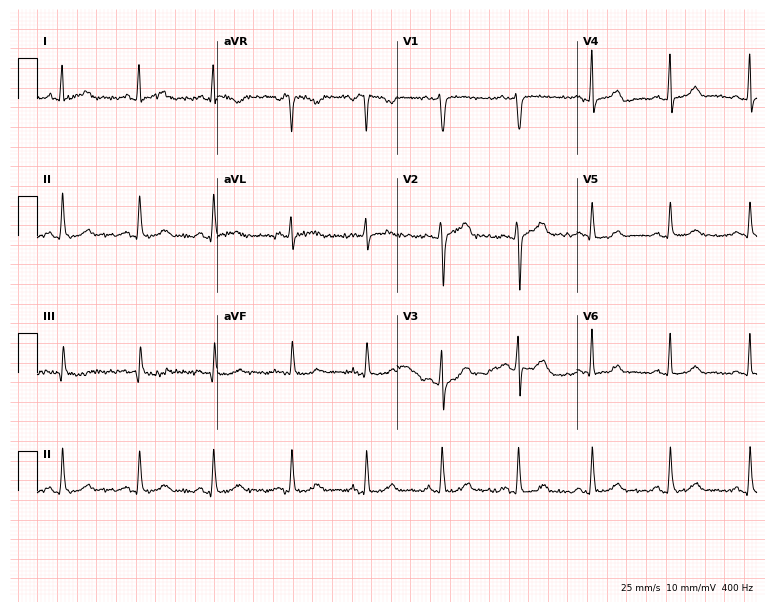
ECG (7.3-second recording at 400 Hz) — a female, 37 years old. Labelled as a normal ECG.